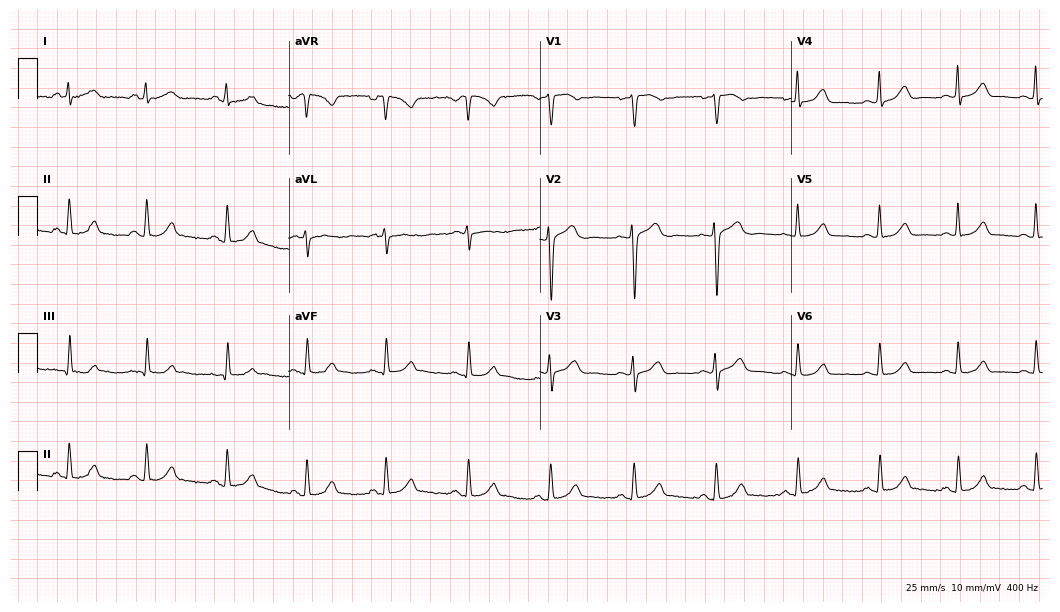
12-lead ECG from a 50-year-old female (10.2-second recording at 400 Hz). Recorded interpretation: within normal limits.